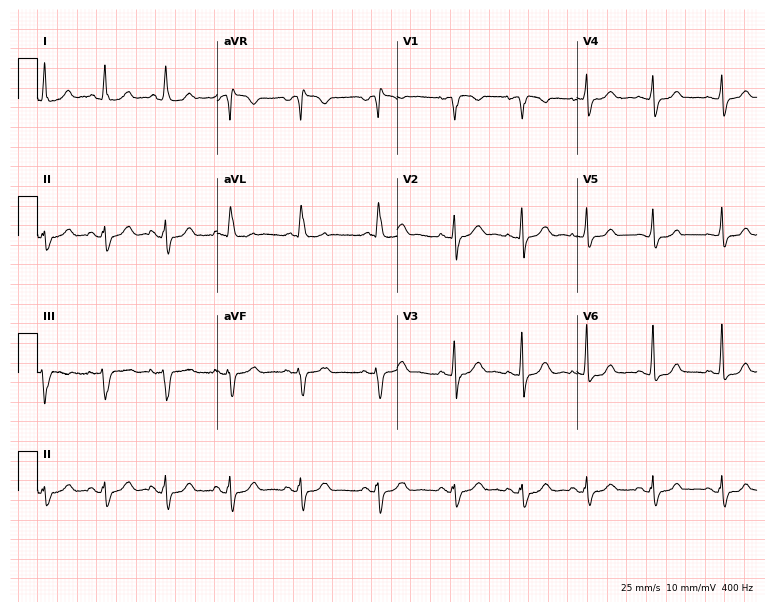
Resting 12-lead electrocardiogram (7.3-second recording at 400 Hz). Patient: a 47-year-old female. Read as a normal ECG.